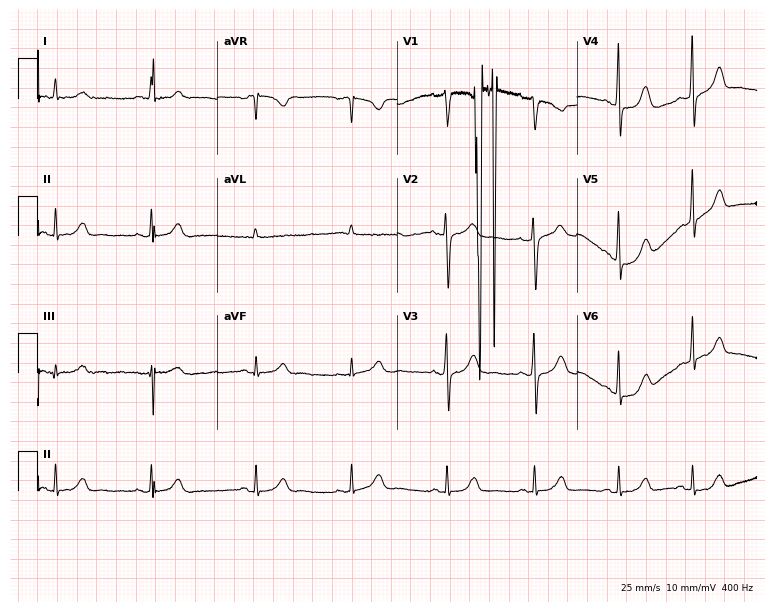
Resting 12-lead electrocardiogram. Patient: a 33-year-old female. Read as a normal ECG.